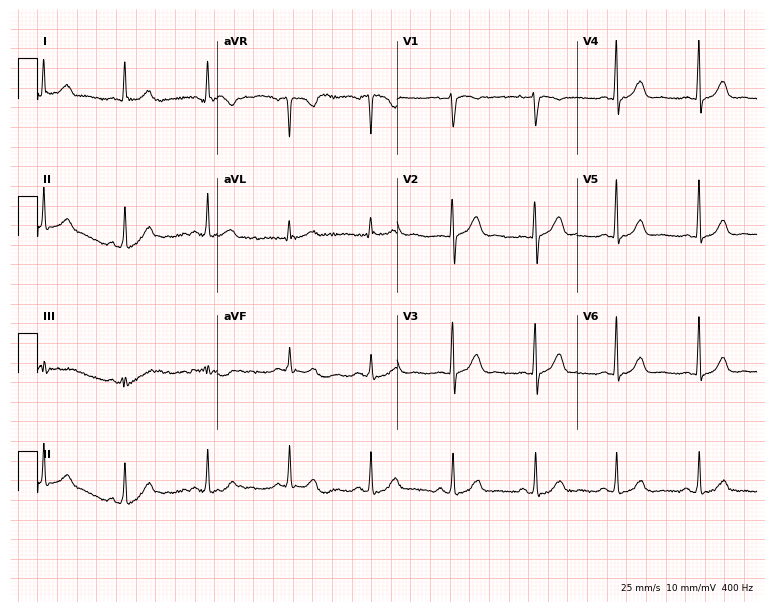
12-lead ECG from a 48-year-old female (7.3-second recording at 400 Hz). Recorded interpretation: within normal limits.